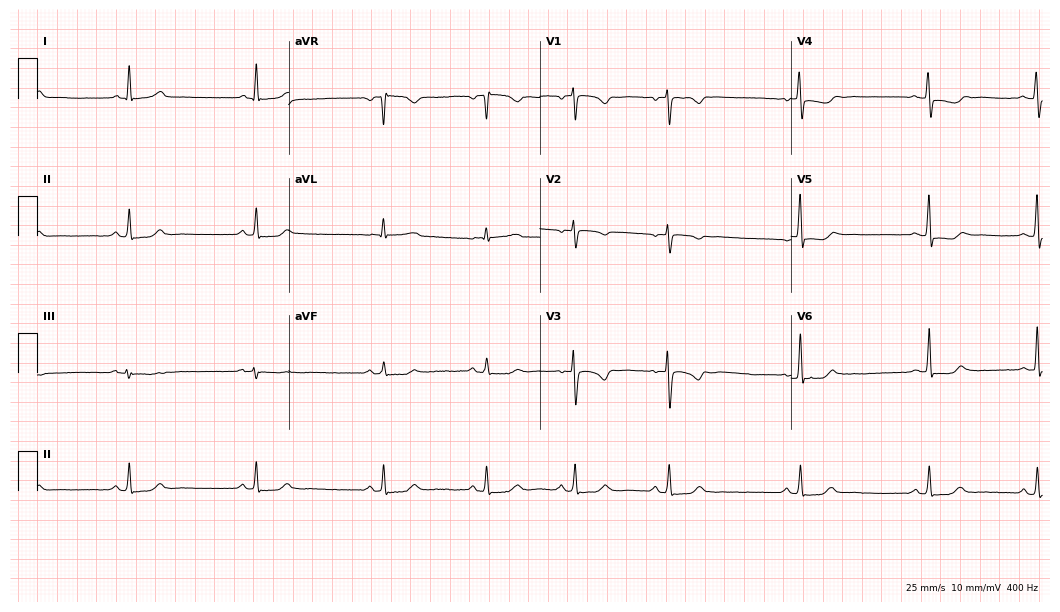
Electrocardiogram (10.2-second recording at 400 Hz), a woman, 55 years old. Of the six screened findings (first-degree AV block, right bundle branch block, left bundle branch block, sinus bradycardia, atrial fibrillation, sinus tachycardia), none is recorded.